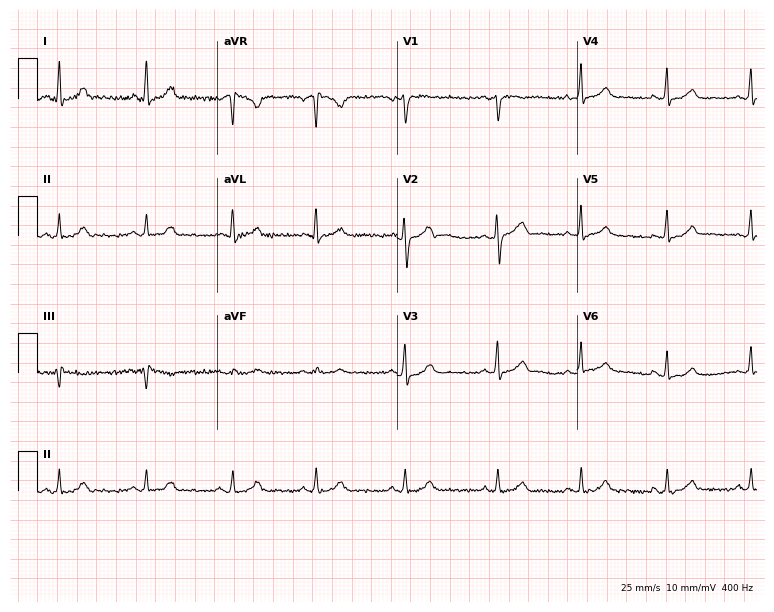
12-lead ECG (7.3-second recording at 400 Hz) from a woman, 33 years old. Labelled as a normal ECG.